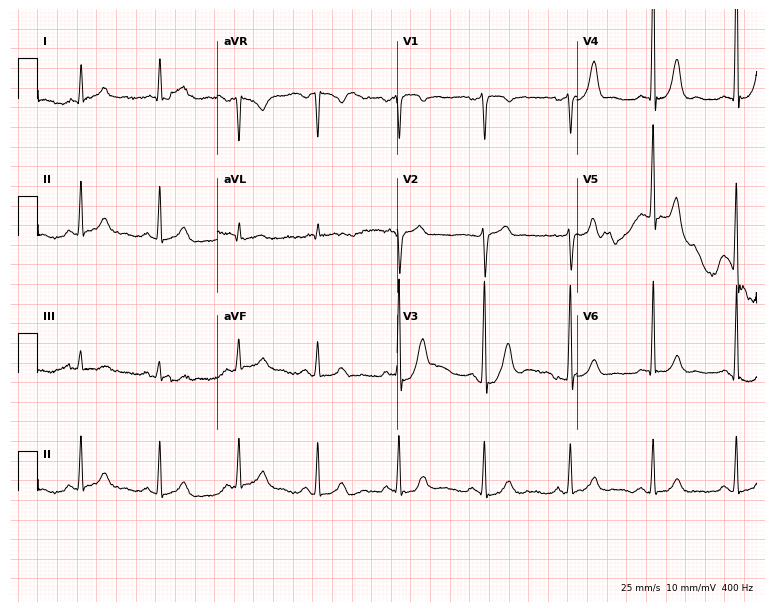
12-lead ECG from a 56-year-old male. Screened for six findings — first-degree AV block, right bundle branch block, left bundle branch block, sinus bradycardia, atrial fibrillation, sinus tachycardia — none is recorded. Only these six findings were labelled.